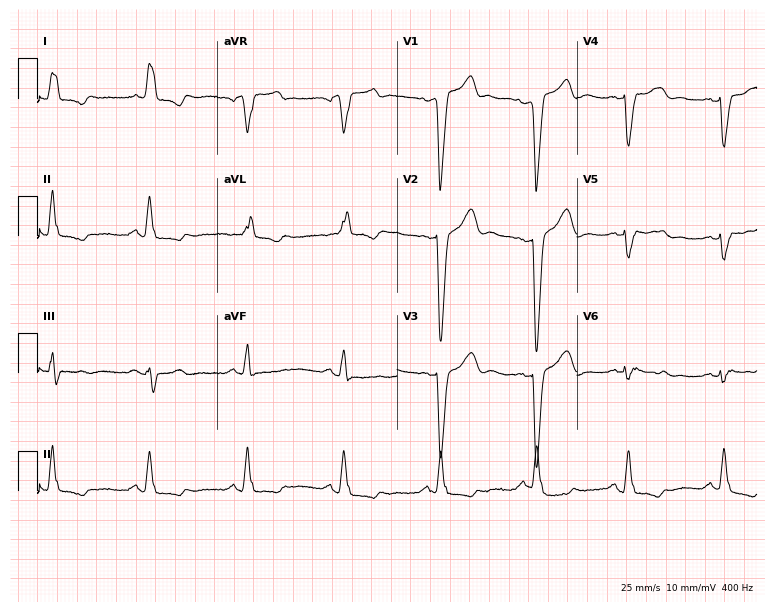
Standard 12-lead ECG recorded from a 77-year-old male patient. The tracing shows left bundle branch block.